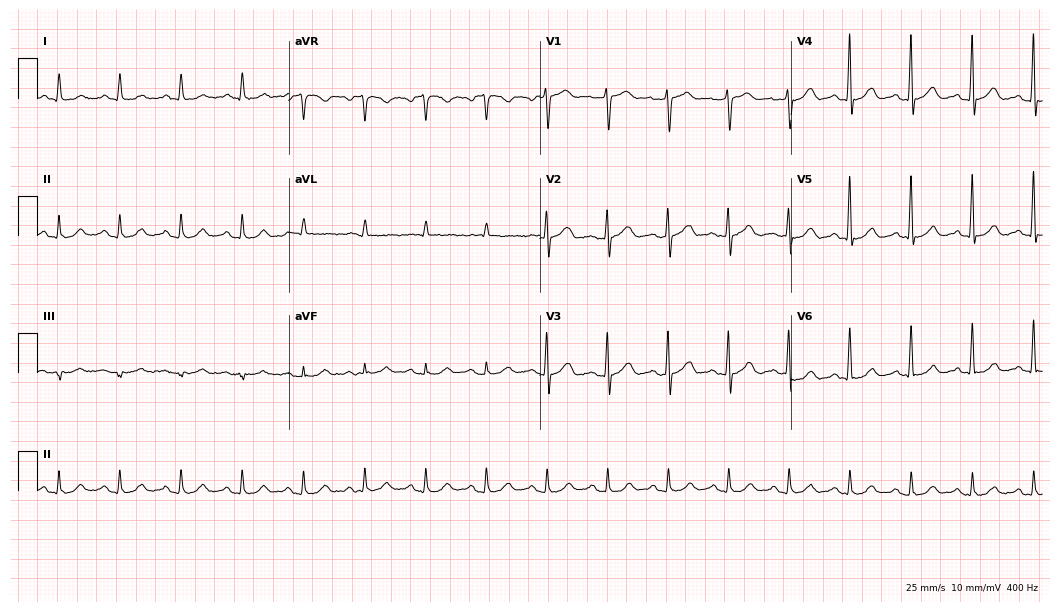
Electrocardiogram (10.2-second recording at 400 Hz), a 78-year-old man. Overall reading on record: normal ECG.